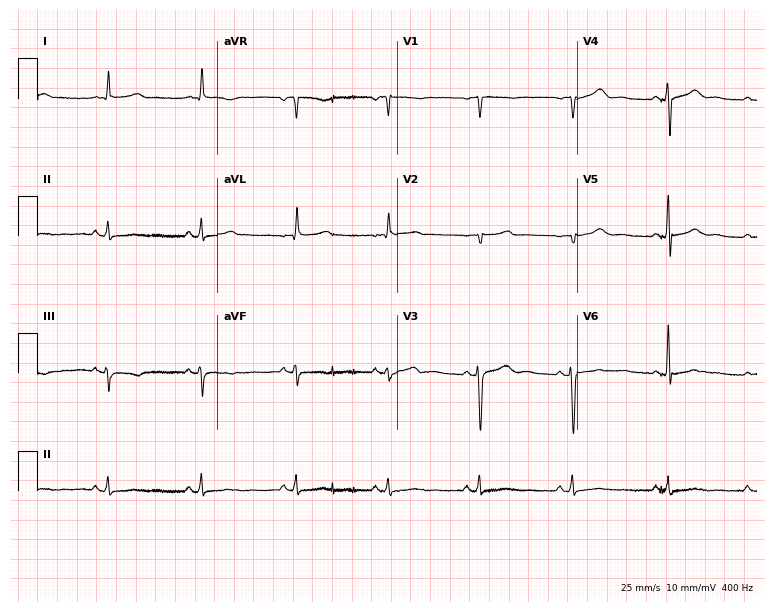
12-lead ECG from a female, 76 years old. No first-degree AV block, right bundle branch block, left bundle branch block, sinus bradycardia, atrial fibrillation or sinus tachycardia recorded for this tracing. Only these six findings were labelled.